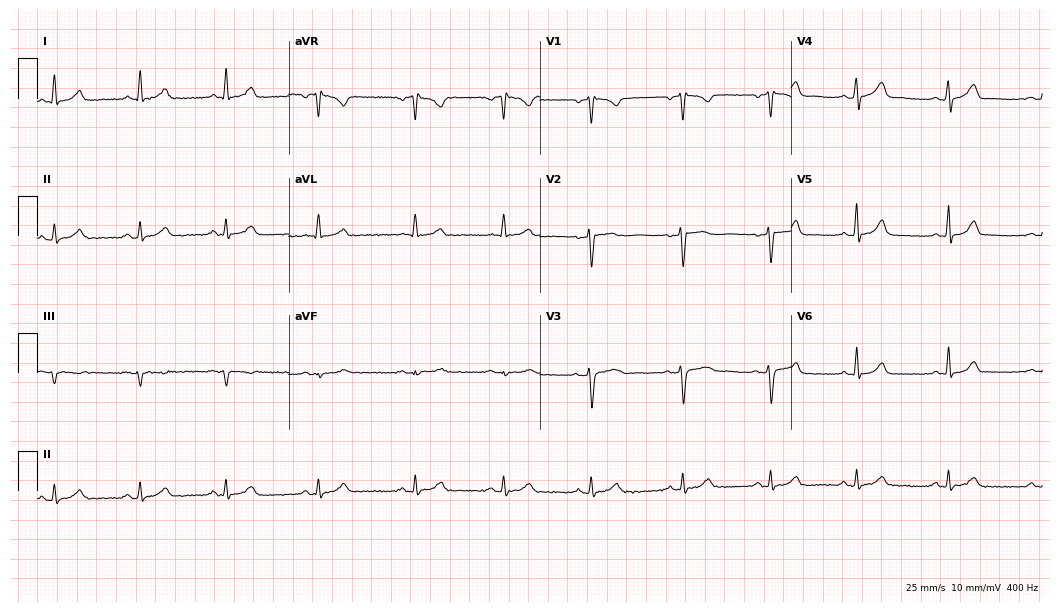
Standard 12-lead ECG recorded from a 57-year-old woman. Read as a normal ECG.